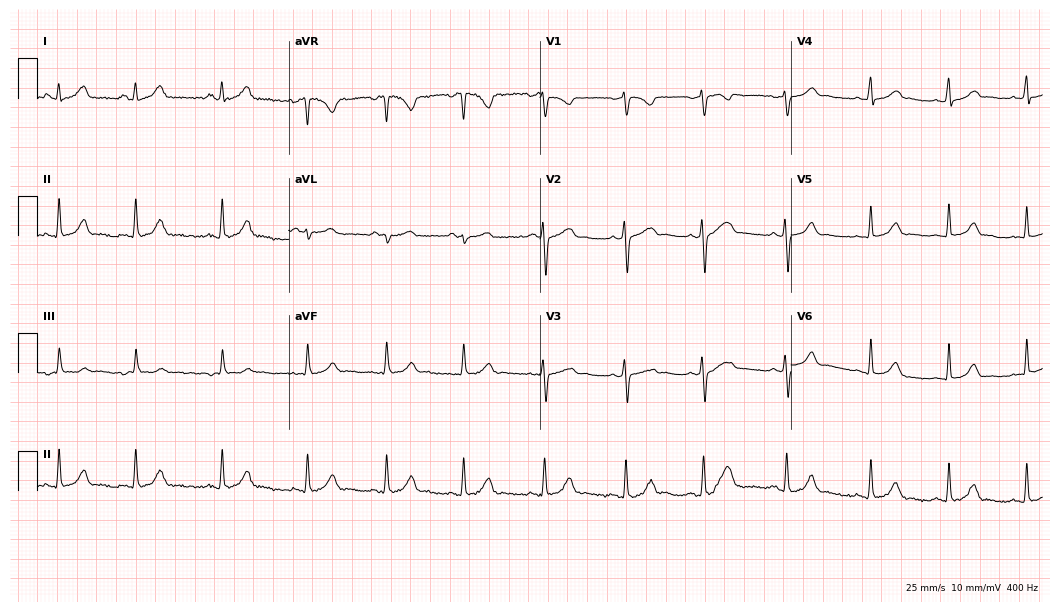
Resting 12-lead electrocardiogram (10.2-second recording at 400 Hz). Patient: a woman, 21 years old. Read as a normal ECG.